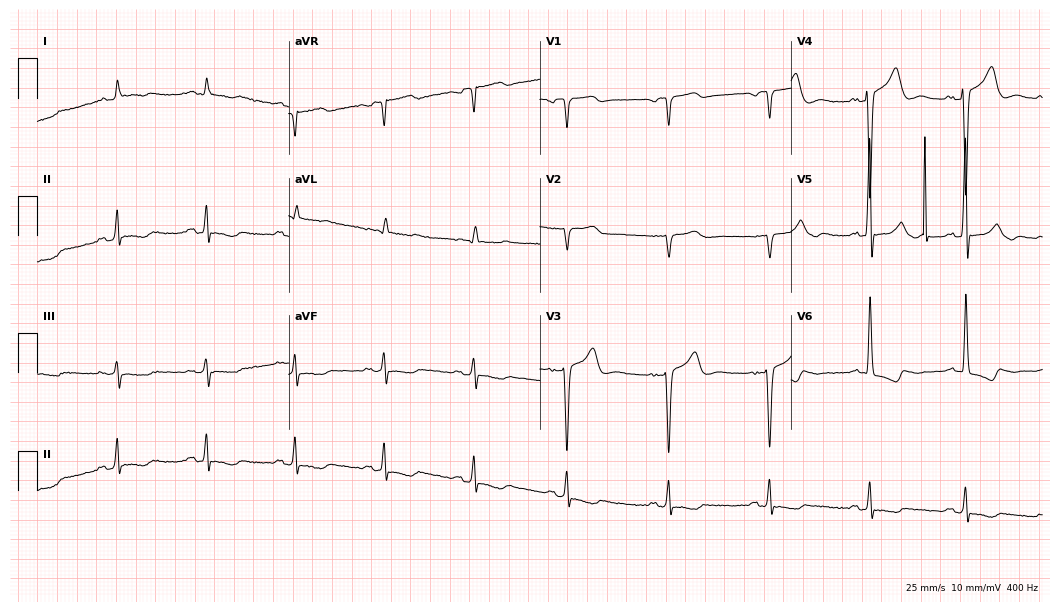
Resting 12-lead electrocardiogram (10.2-second recording at 400 Hz). Patient: a man, 73 years old. None of these six findings is recorded: first-degree AV block, right bundle branch block, left bundle branch block, sinus bradycardia, atrial fibrillation, sinus tachycardia. Findings outside these six are not listed.